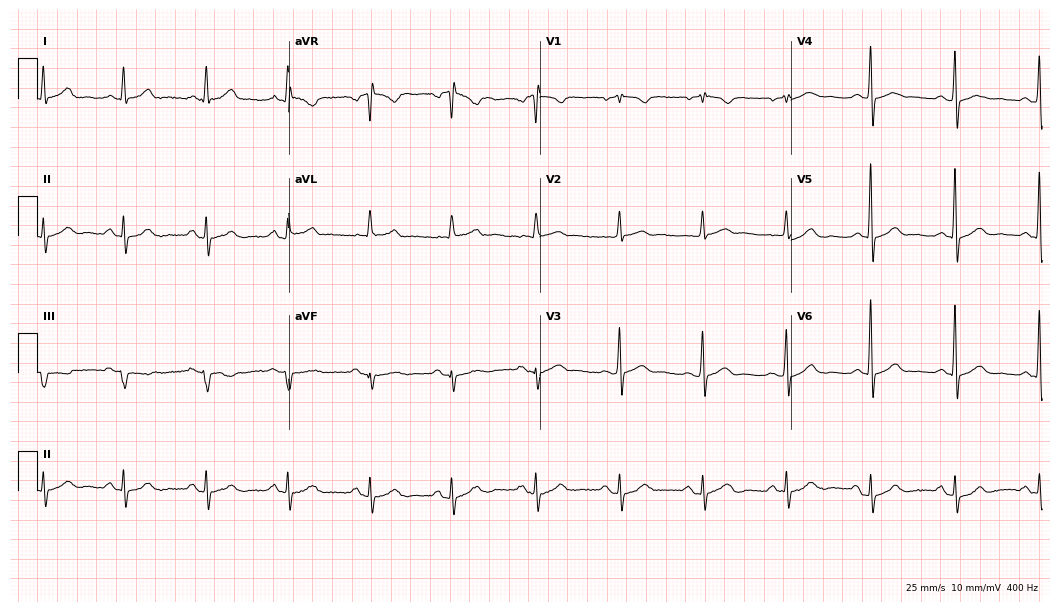
Standard 12-lead ECG recorded from a 58-year-old woman. None of these six findings is recorded: first-degree AV block, right bundle branch block (RBBB), left bundle branch block (LBBB), sinus bradycardia, atrial fibrillation (AF), sinus tachycardia. Only these six findings were labelled.